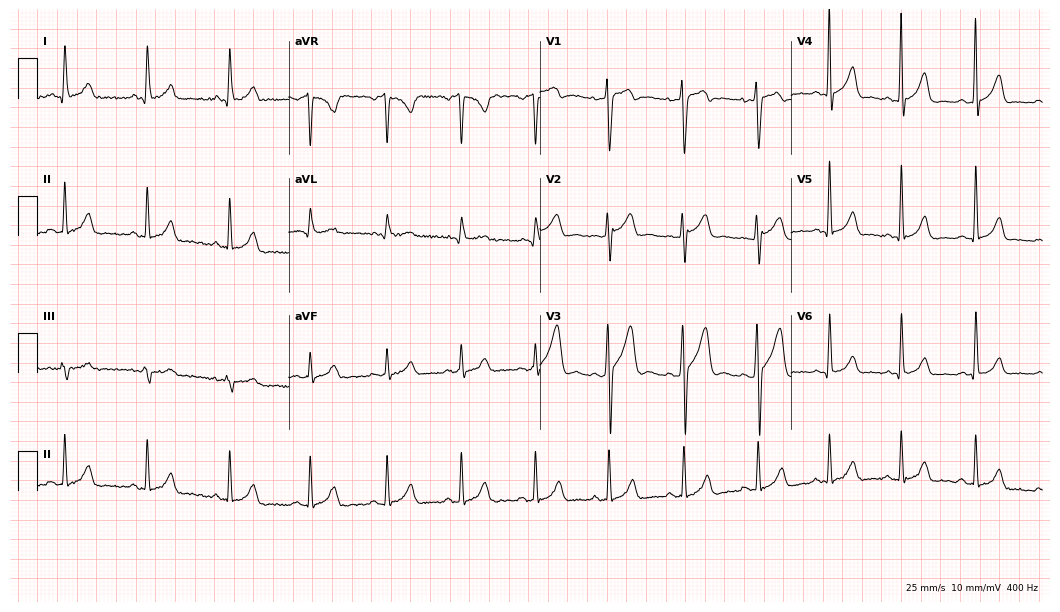
ECG — a male, 18 years old. Labelled as a normal ECG.